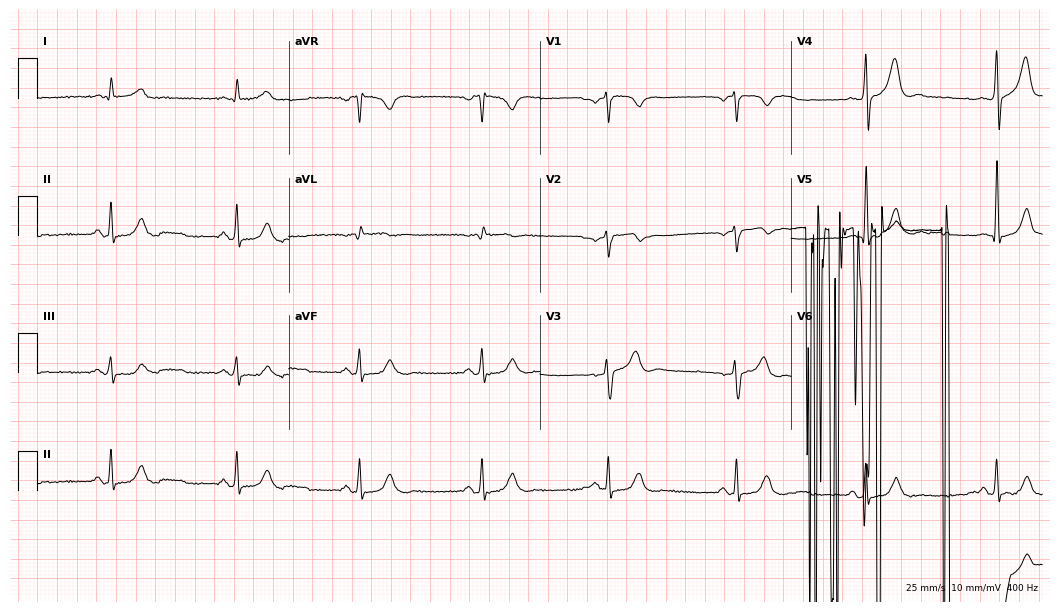
Resting 12-lead electrocardiogram (10.2-second recording at 400 Hz). Patient: a 51-year-old male. None of these six findings is recorded: first-degree AV block, right bundle branch block, left bundle branch block, sinus bradycardia, atrial fibrillation, sinus tachycardia.